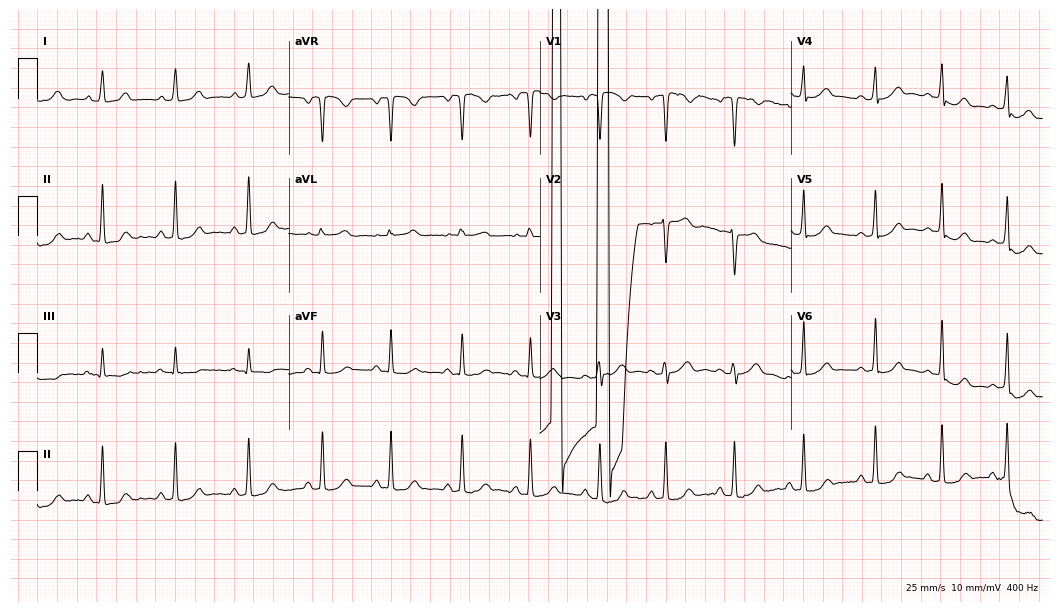
12-lead ECG from a female, 20 years old. Screened for six findings — first-degree AV block, right bundle branch block, left bundle branch block, sinus bradycardia, atrial fibrillation, sinus tachycardia — none is recorded. Other findings, if any, are not listed.